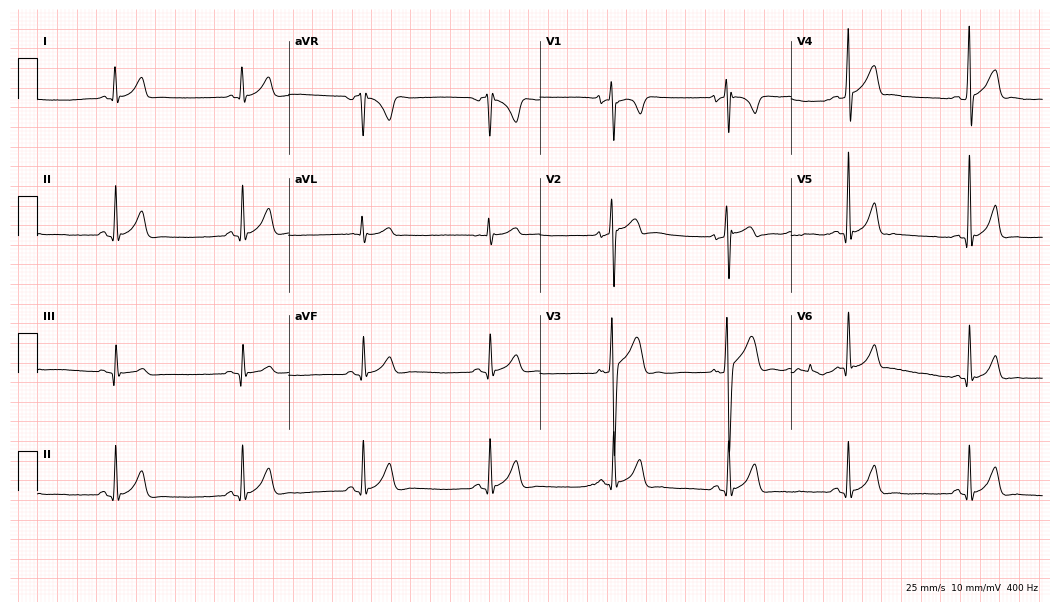
Electrocardiogram, a male, 17 years old. Of the six screened findings (first-degree AV block, right bundle branch block (RBBB), left bundle branch block (LBBB), sinus bradycardia, atrial fibrillation (AF), sinus tachycardia), none is recorded.